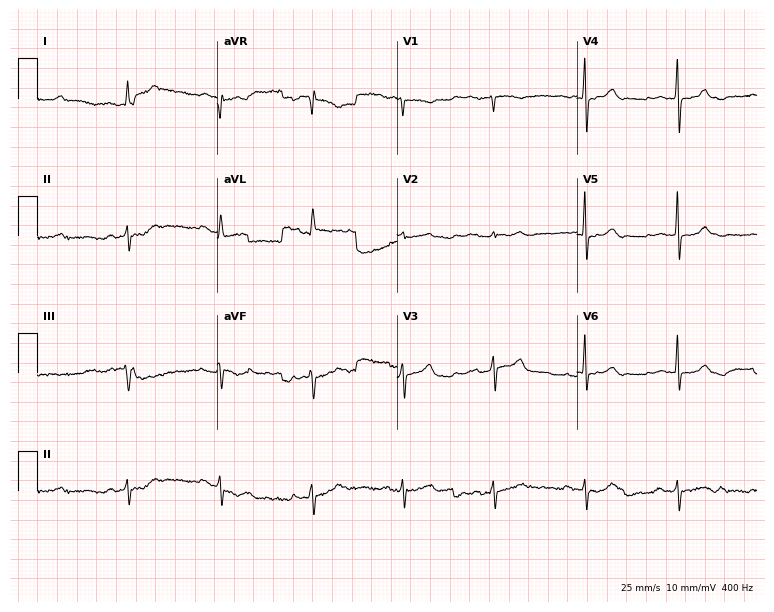
Electrocardiogram, a female, 63 years old. Of the six screened findings (first-degree AV block, right bundle branch block, left bundle branch block, sinus bradycardia, atrial fibrillation, sinus tachycardia), none is recorded.